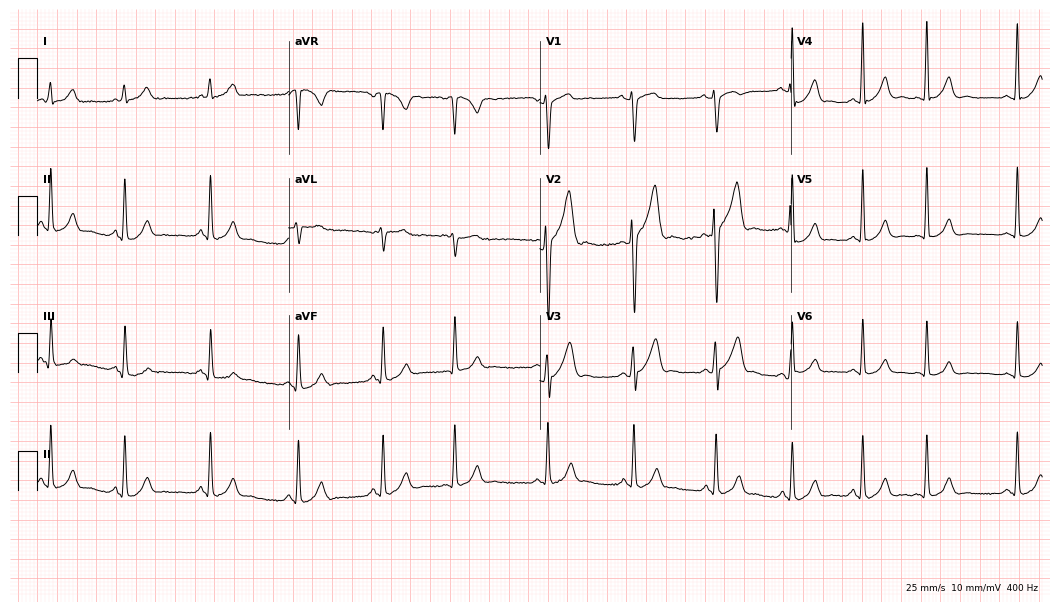
12-lead ECG from a man, 24 years old (10.2-second recording at 400 Hz). Recorded interpretation: within normal limits.